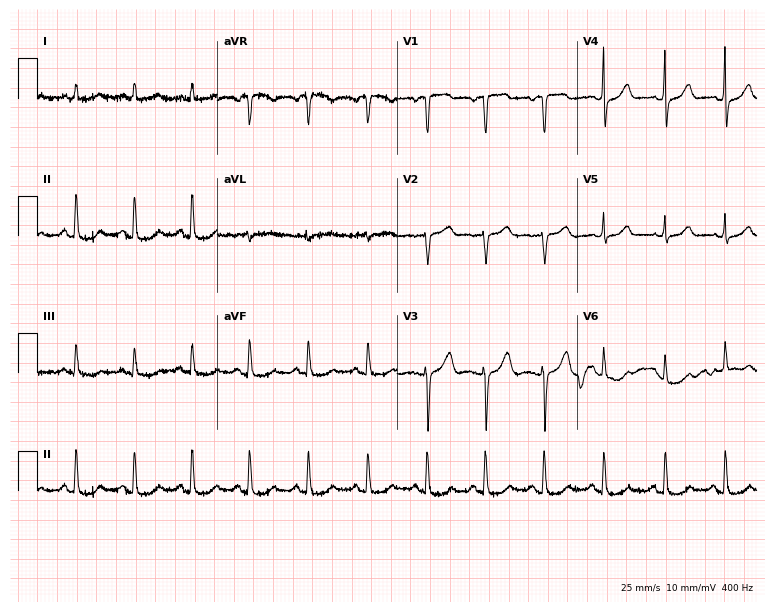
ECG — a female patient, 85 years old. Screened for six findings — first-degree AV block, right bundle branch block (RBBB), left bundle branch block (LBBB), sinus bradycardia, atrial fibrillation (AF), sinus tachycardia — none is recorded.